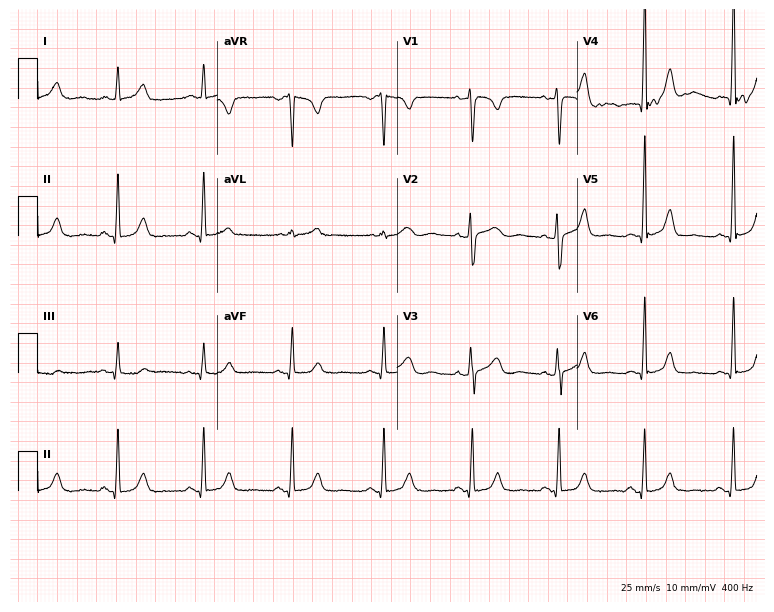
ECG — a 38-year-old female. Screened for six findings — first-degree AV block, right bundle branch block (RBBB), left bundle branch block (LBBB), sinus bradycardia, atrial fibrillation (AF), sinus tachycardia — none is recorded. Findings outside these six are not listed.